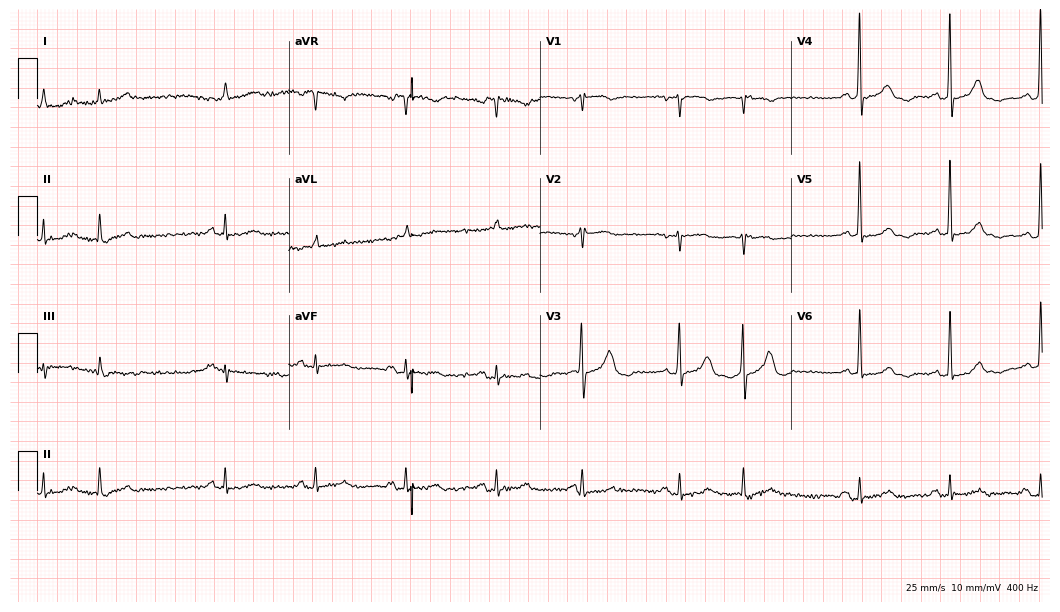
12-lead ECG (10.2-second recording at 400 Hz) from a female patient, 84 years old. Labelled as a normal ECG.